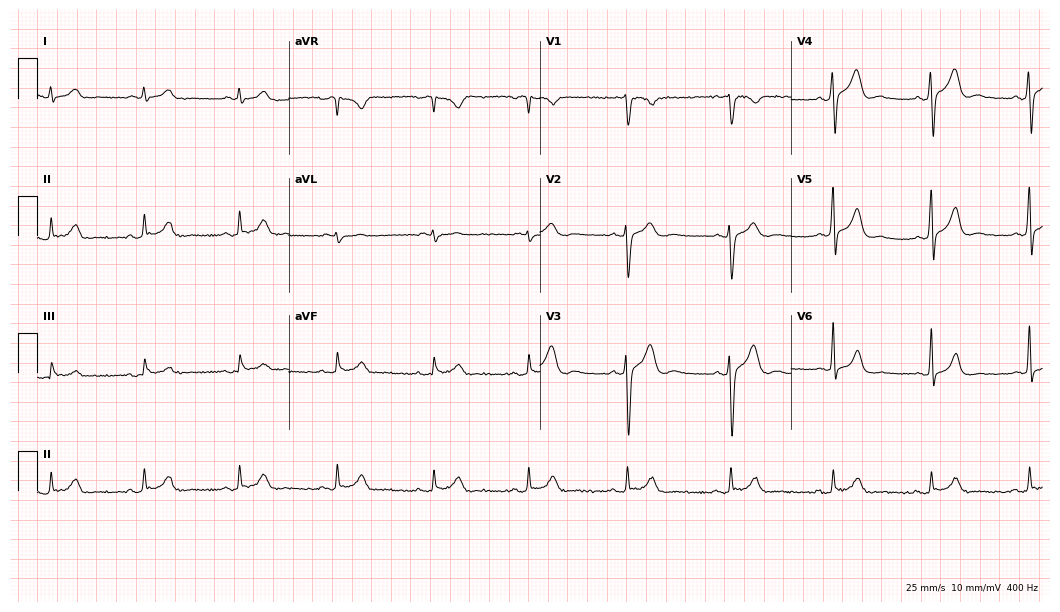
ECG (10.2-second recording at 400 Hz) — a 30-year-old male patient. Screened for six findings — first-degree AV block, right bundle branch block (RBBB), left bundle branch block (LBBB), sinus bradycardia, atrial fibrillation (AF), sinus tachycardia — none is recorded.